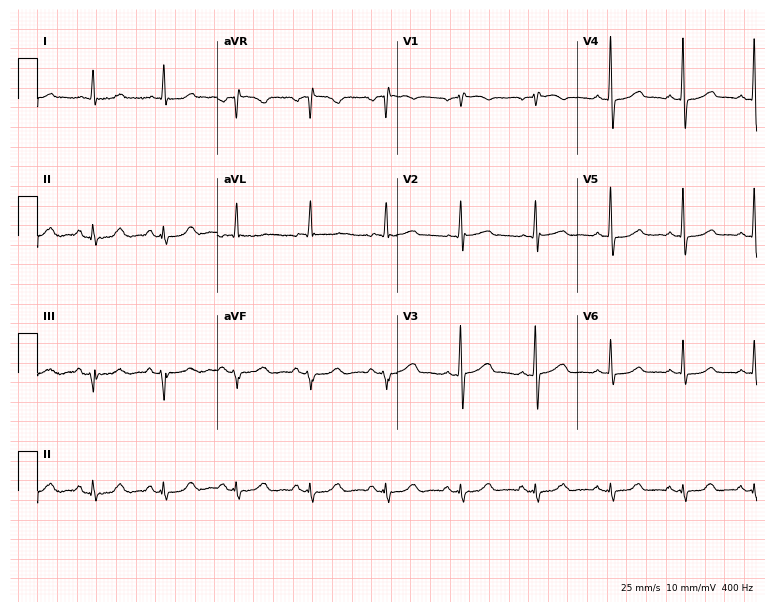
12-lead ECG from a male, 70 years old (7.3-second recording at 400 Hz). Recorded interpretation: within normal limits.